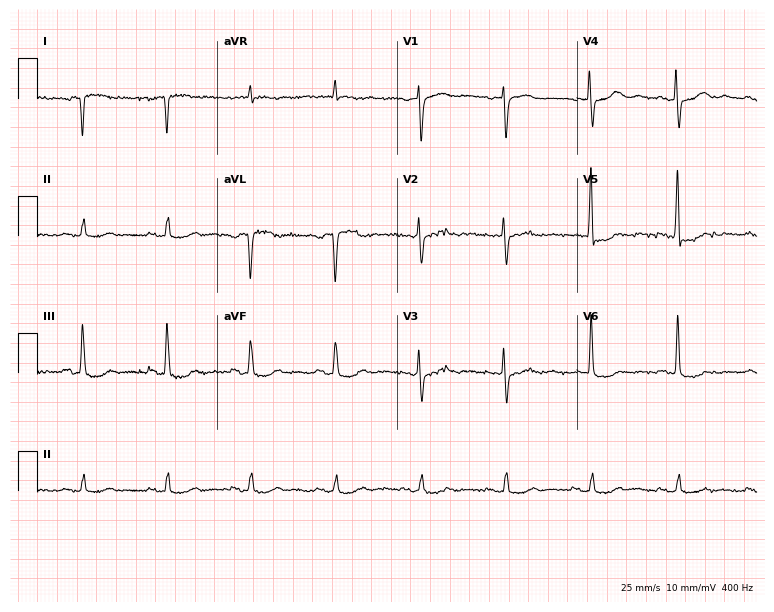
Electrocardiogram, a 78-year-old female. Of the six screened findings (first-degree AV block, right bundle branch block (RBBB), left bundle branch block (LBBB), sinus bradycardia, atrial fibrillation (AF), sinus tachycardia), none is recorded.